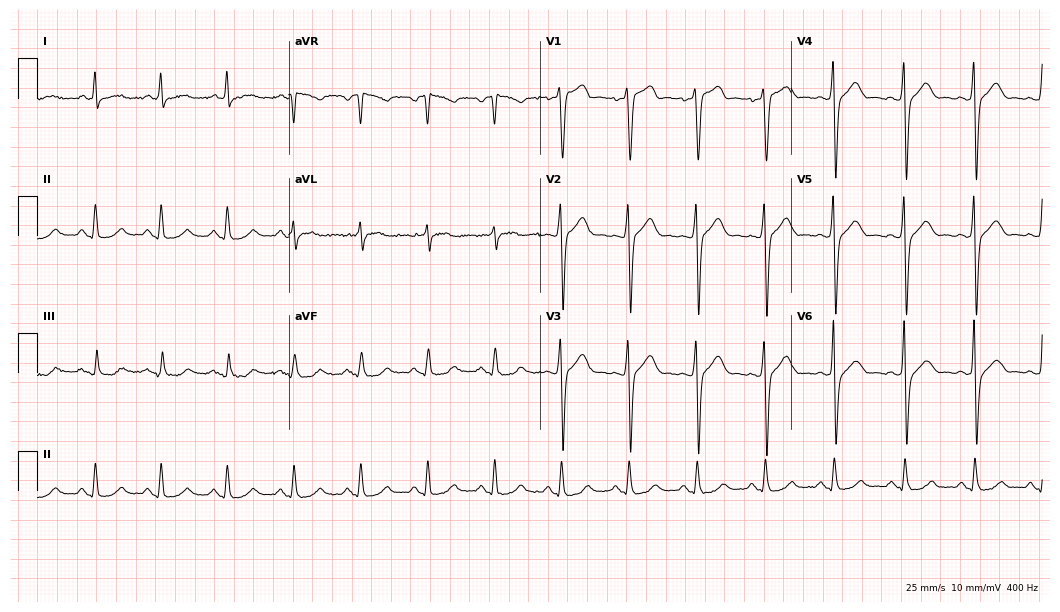
12-lead ECG (10.2-second recording at 400 Hz) from a 44-year-old man. Screened for six findings — first-degree AV block, right bundle branch block, left bundle branch block, sinus bradycardia, atrial fibrillation, sinus tachycardia — none is recorded. Findings outside these six are not listed.